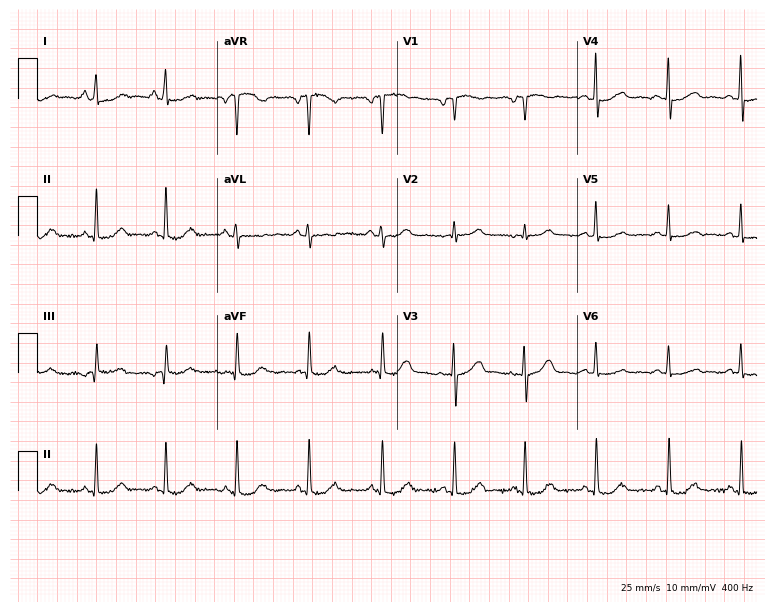
Standard 12-lead ECG recorded from a woman, 59 years old (7.3-second recording at 400 Hz). Read as a normal ECG.